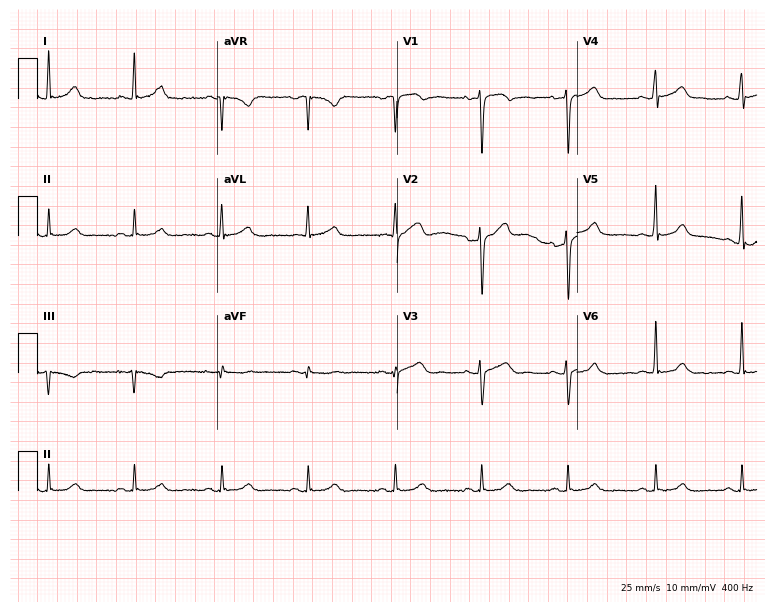
Electrocardiogram, a male patient, 31 years old. Overall reading on record: normal ECG.